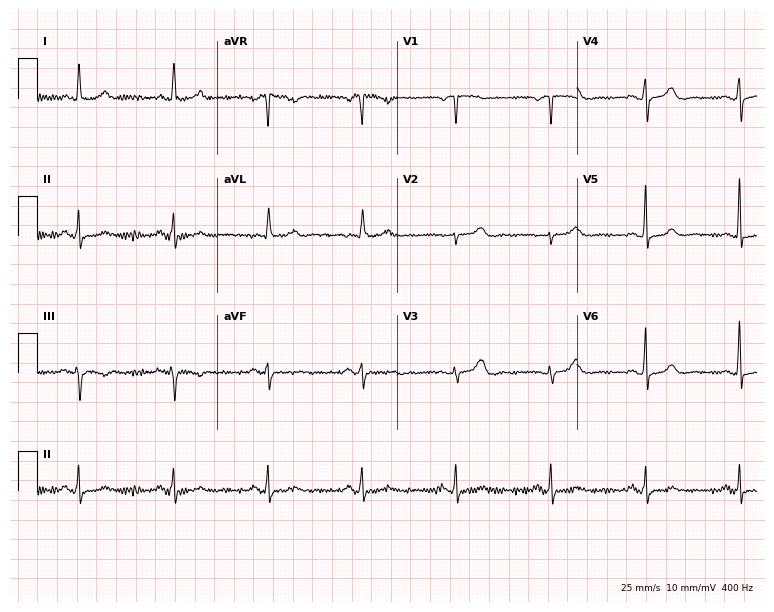
ECG (7.3-second recording at 400 Hz) — a woman, 70 years old. Screened for six findings — first-degree AV block, right bundle branch block (RBBB), left bundle branch block (LBBB), sinus bradycardia, atrial fibrillation (AF), sinus tachycardia — none is recorded.